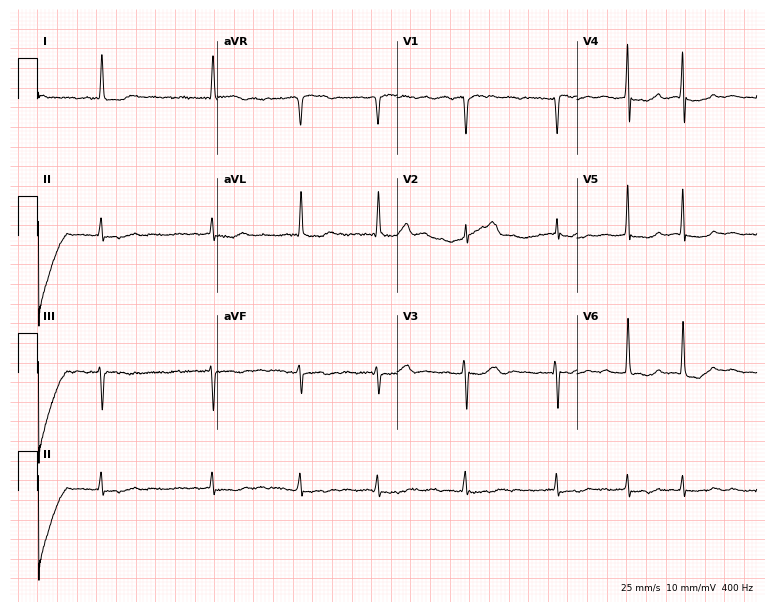
Resting 12-lead electrocardiogram (7.3-second recording at 400 Hz). Patient: a female, 74 years old. The tracing shows atrial fibrillation.